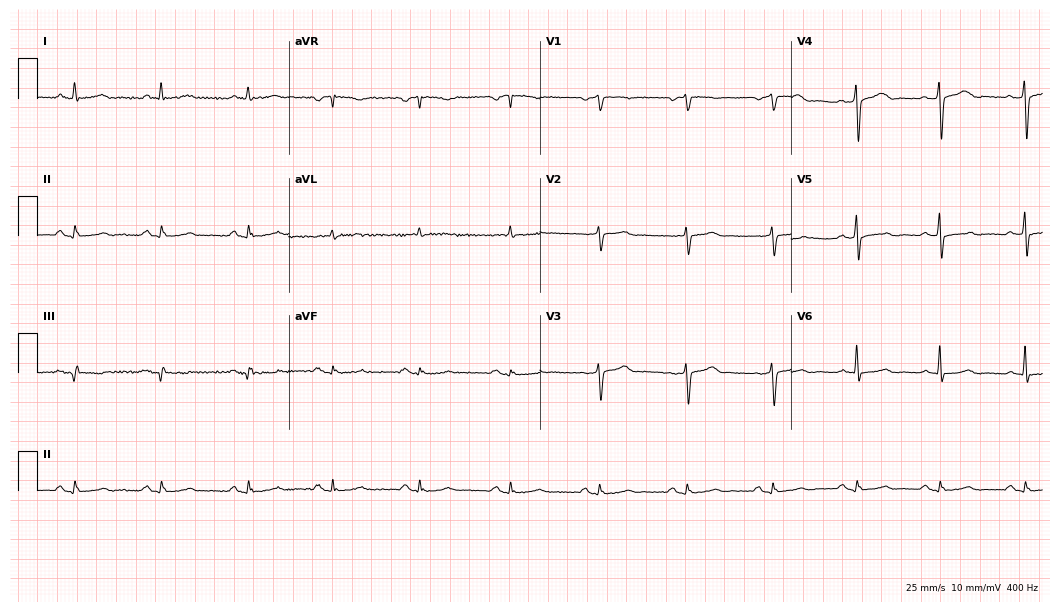
12-lead ECG from a 55-year-old male. Recorded interpretation: within normal limits.